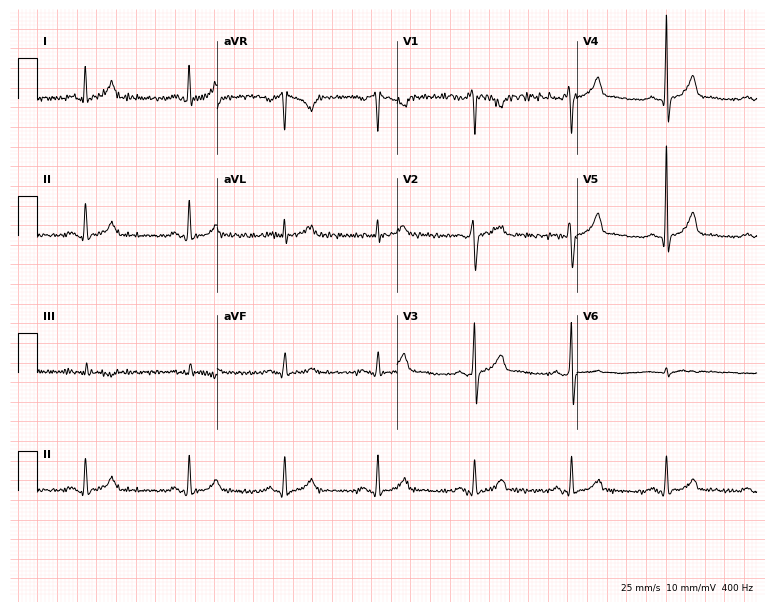
ECG — a 27-year-old male. Labelled as a normal ECG.